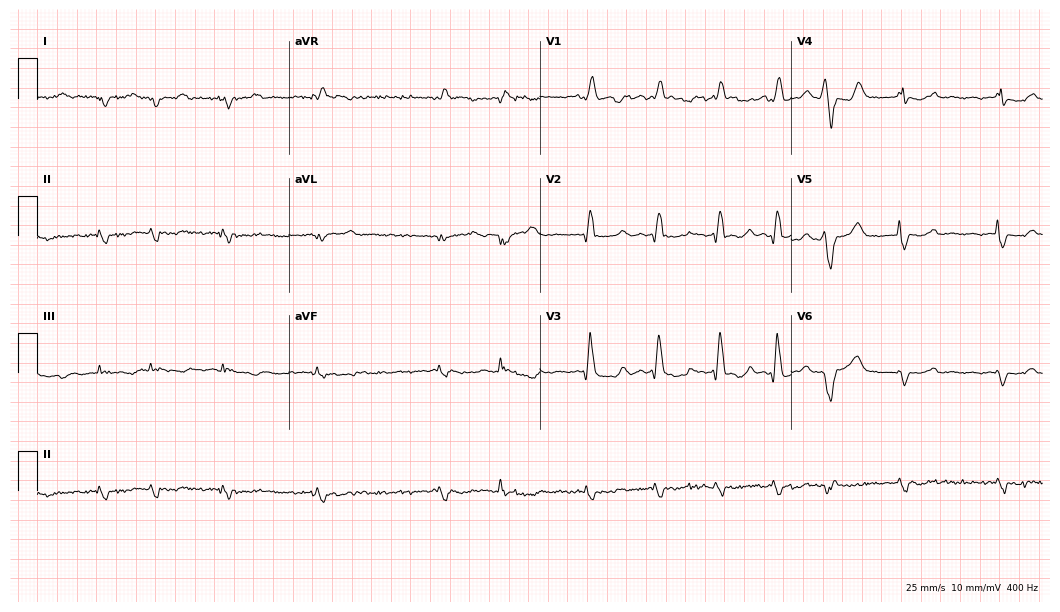
Resting 12-lead electrocardiogram (10.2-second recording at 400 Hz). Patient: a 69-year-old male. None of these six findings is recorded: first-degree AV block, right bundle branch block (RBBB), left bundle branch block (LBBB), sinus bradycardia, atrial fibrillation (AF), sinus tachycardia. Other findings, if any, are not listed.